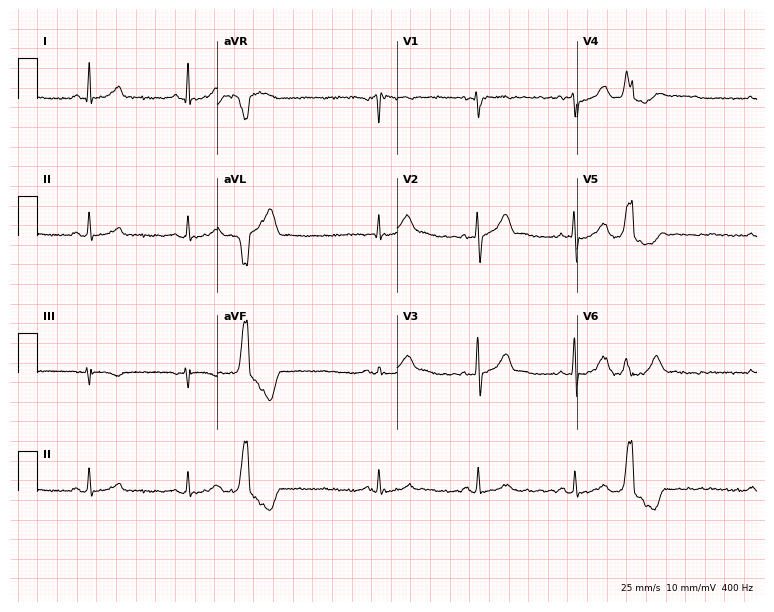
Resting 12-lead electrocardiogram (7.3-second recording at 400 Hz). Patient: a male, 42 years old. None of these six findings is recorded: first-degree AV block, right bundle branch block, left bundle branch block, sinus bradycardia, atrial fibrillation, sinus tachycardia.